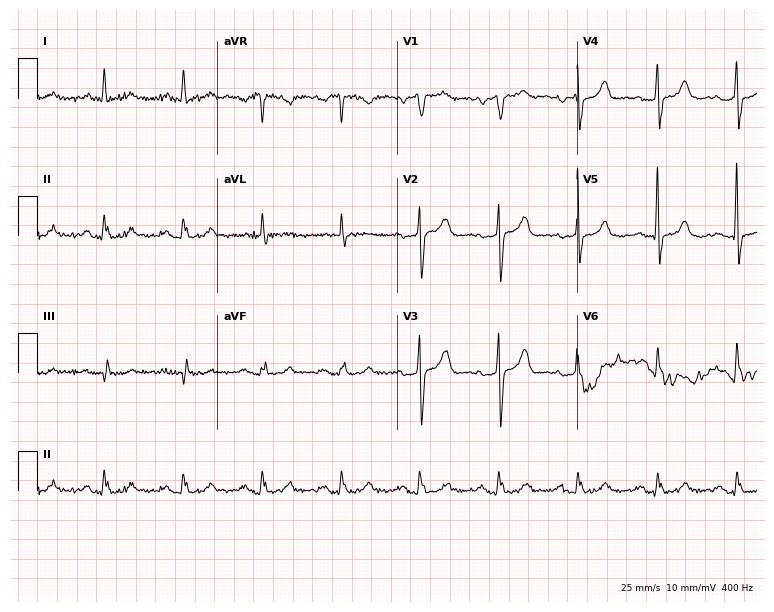
ECG — a male patient, 85 years old. Screened for six findings — first-degree AV block, right bundle branch block (RBBB), left bundle branch block (LBBB), sinus bradycardia, atrial fibrillation (AF), sinus tachycardia — none is recorded.